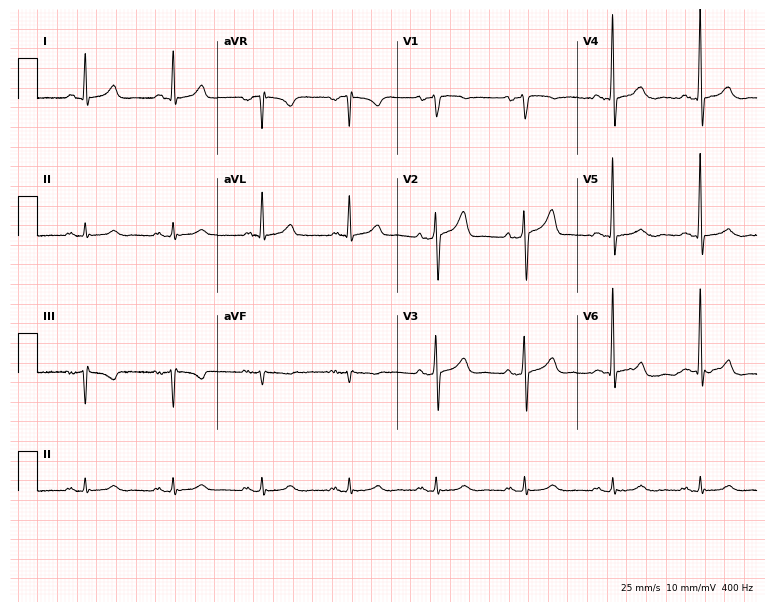
12-lead ECG from a 65-year-old male patient. Labelled as a normal ECG.